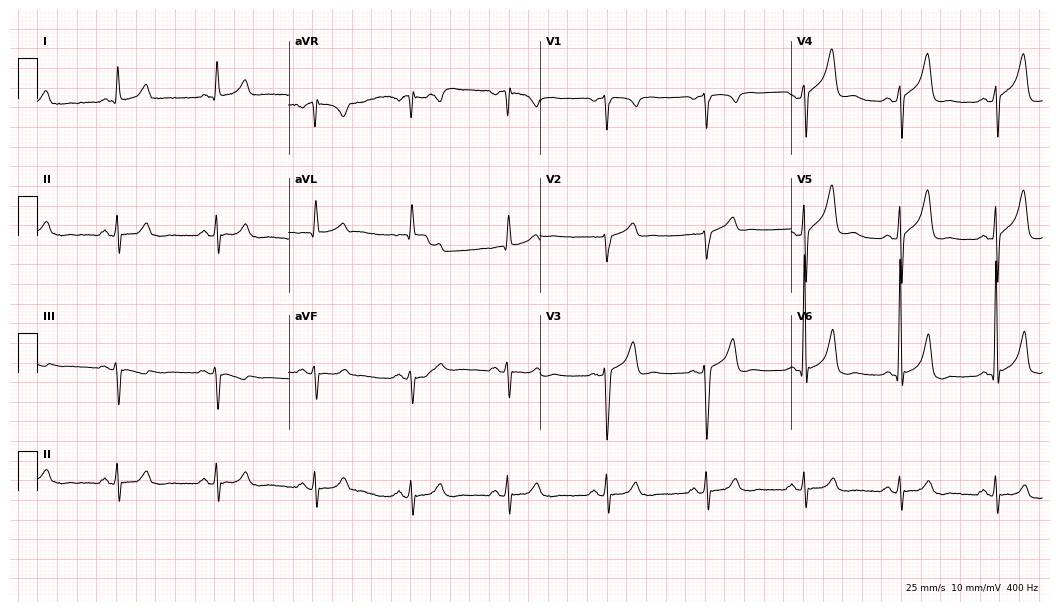
12-lead ECG (10.2-second recording at 400 Hz) from a 57-year-old male patient. Screened for six findings — first-degree AV block, right bundle branch block, left bundle branch block, sinus bradycardia, atrial fibrillation, sinus tachycardia — none is recorded.